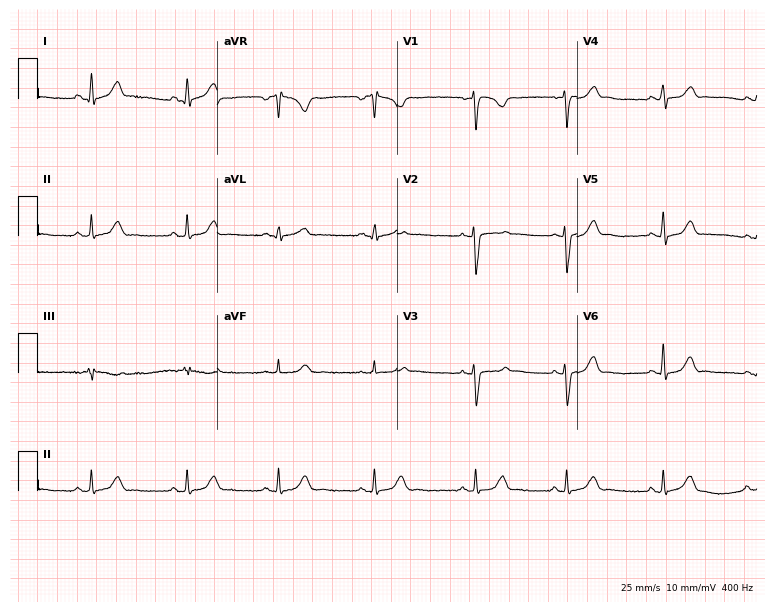
12-lead ECG from a 29-year-old female patient (7.3-second recording at 400 Hz). Recorded interpretation: within normal limits.